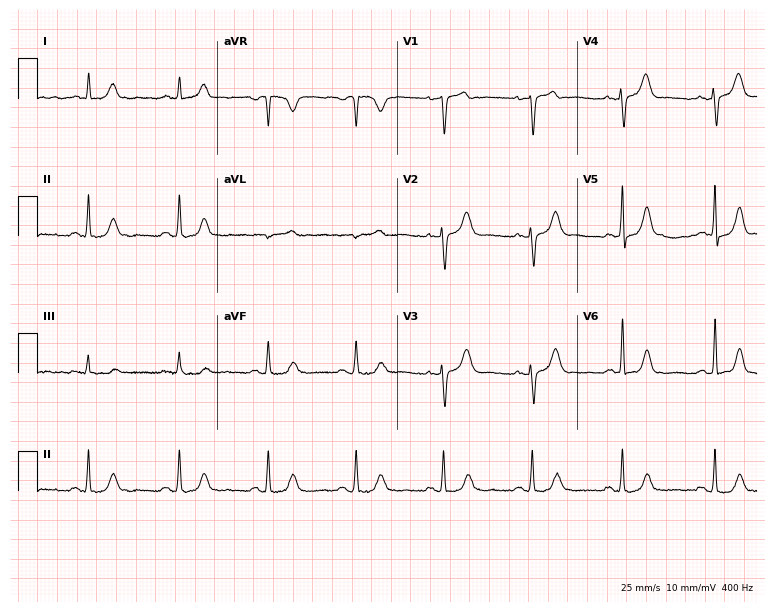
Electrocardiogram (7.3-second recording at 400 Hz), a woman, 46 years old. Of the six screened findings (first-degree AV block, right bundle branch block, left bundle branch block, sinus bradycardia, atrial fibrillation, sinus tachycardia), none is recorded. Only these six findings were labelled.